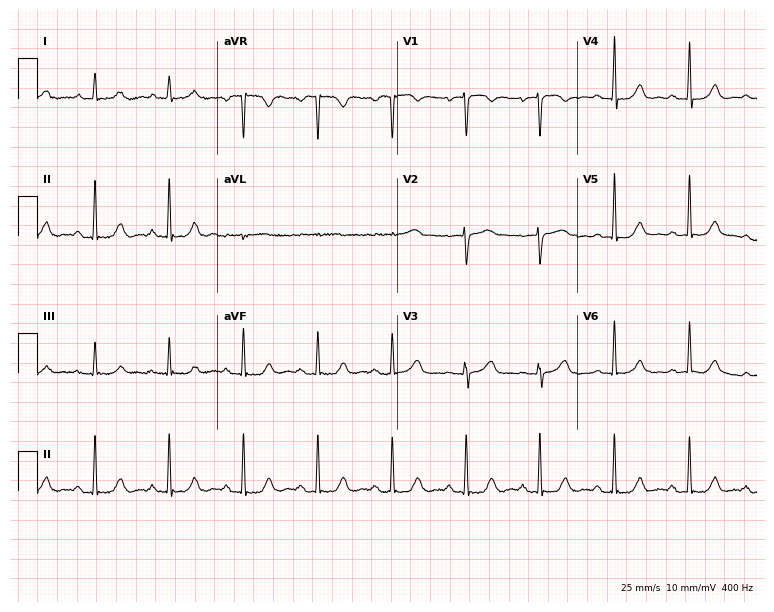
12-lead ECG from a female, 70 years old. No first-degree AV block, right bundle branch block, left bundle branch block, sinus bradycardia, atrial fibrillation or sinus tachycardia recorded for this tracing.